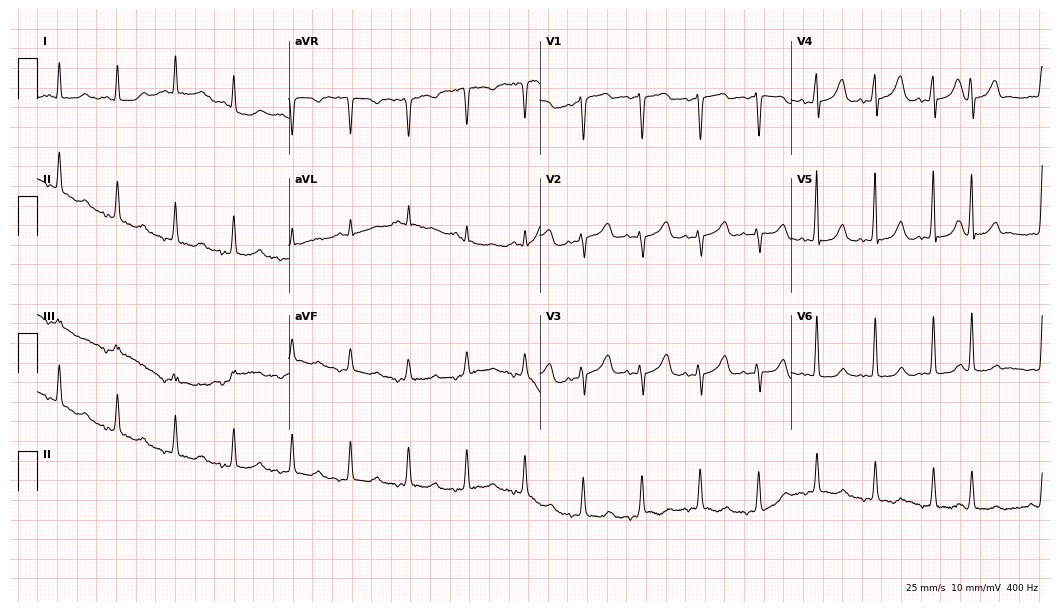
12-lead ECG from a 72-year-old female patient (10.2-second recording at 400 Hz). Shows sinus tachycardia (a sinus rate of 100 beats per minute or more).